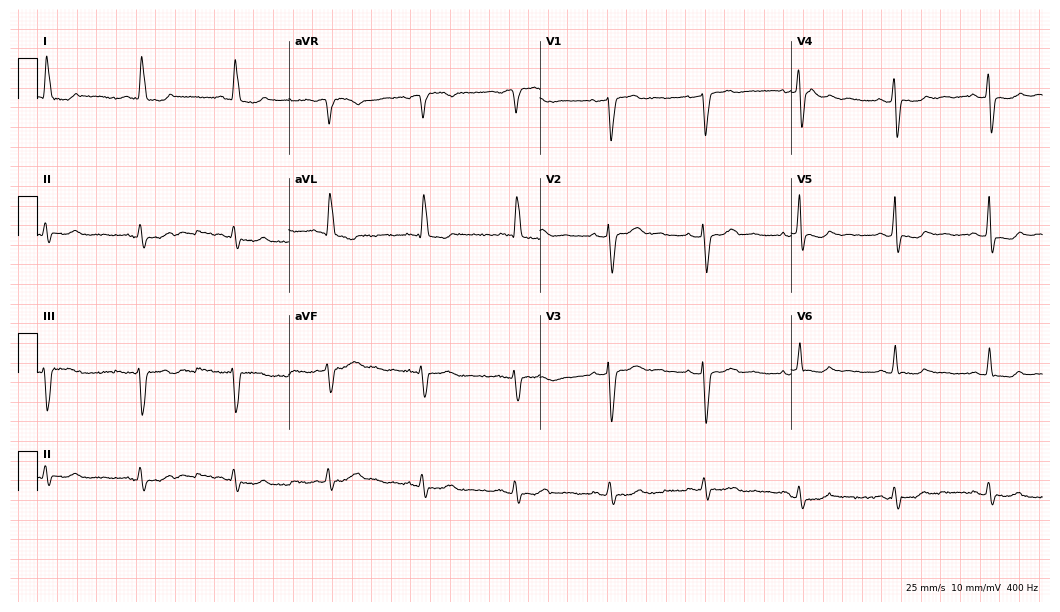
ECG — a female, 53 years old. Screened for six findings — first-degree AV block, right bundle branch block (RBBB), left bundle branch block (LBBB), sinus bradycardia, atrial fibrillation (AF), sinus tachycardia — none is recorded. Other findings, if any, are not listed.